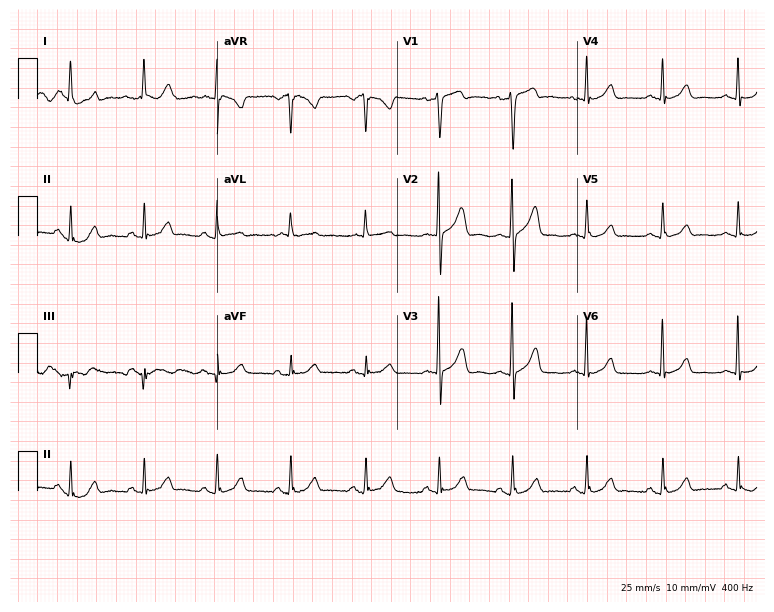
ECG (7.3-second recording at 400 Hz) — a female, 65 years old. Labelled as a normal ECG.